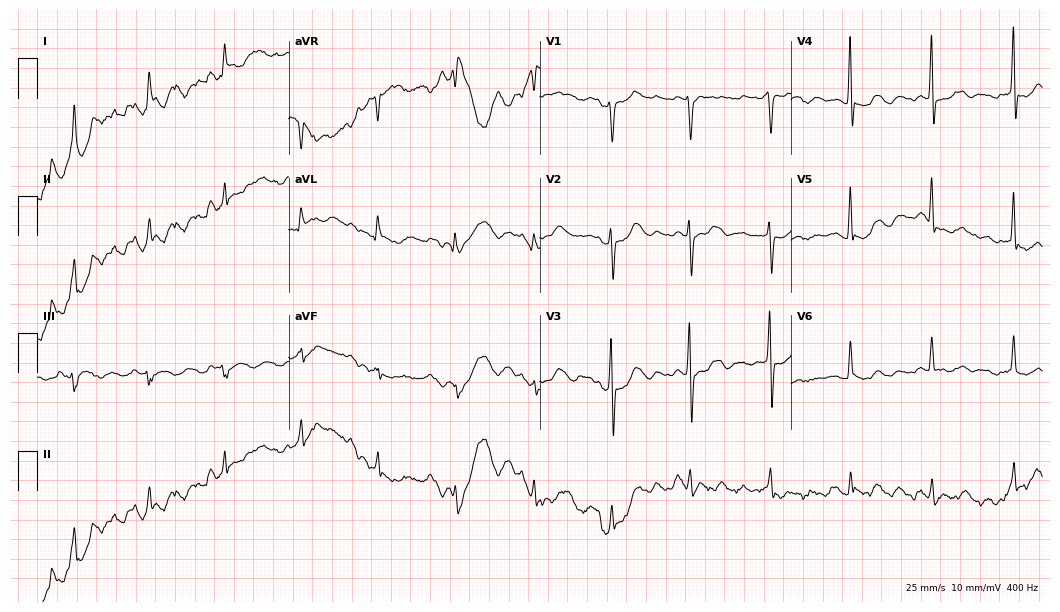
Standard 12-lead ECG recorded from a male, 81 years old. None of these six findings is recorded: first-degree AV block, right bundle branch block (RBBB), left bundle branch block (LBBB), sinus bradycardia, atrial fibrillation (AF), sinus tachycardia. Only these six findings were labelled.